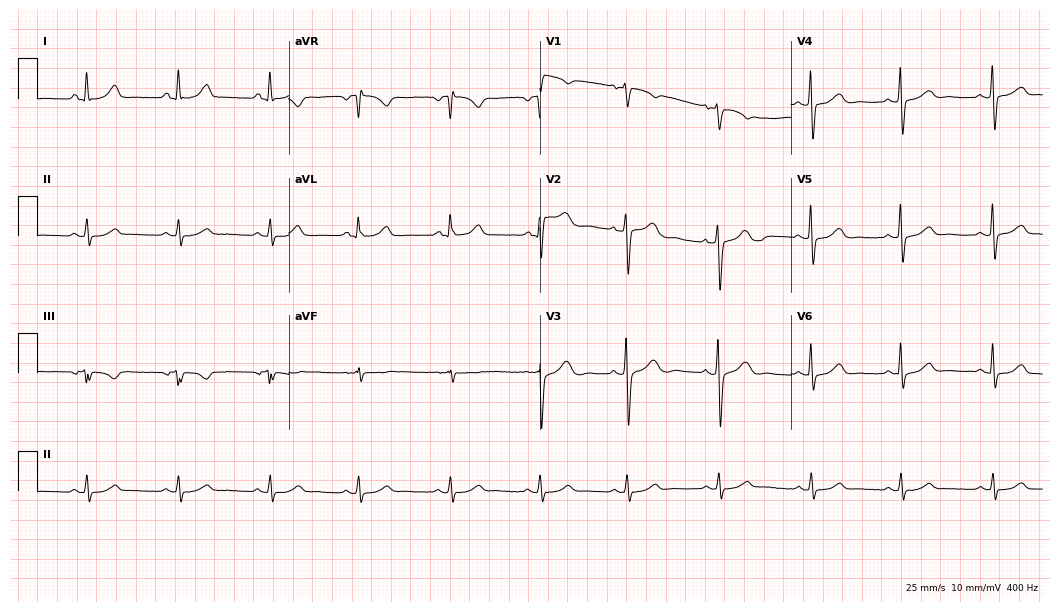
12-lead ECG from a 54-year-old female patient. Labelled as a normal ECG.